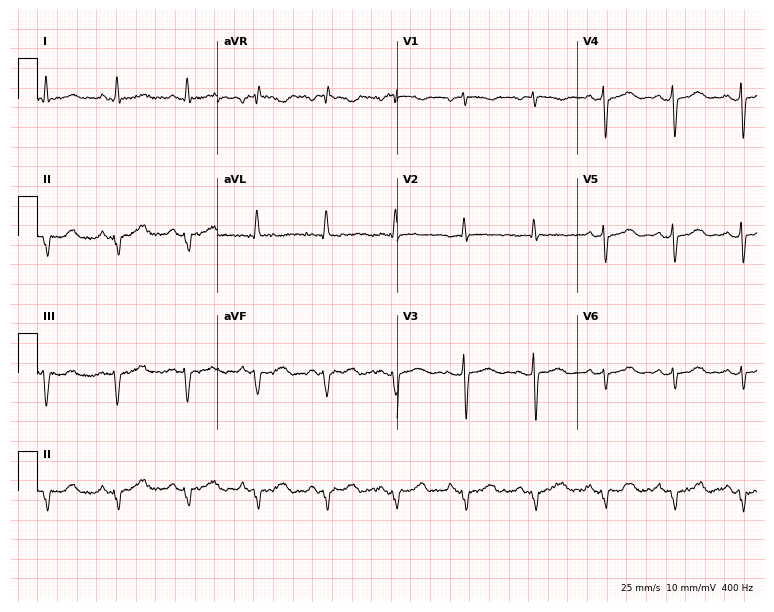
ECG (7.3-second recording at 400 Hz) — a woman, 68 years old. Screened for six findings — first-degree AV block, right bundle branch block (RBBB), left bundle branch block (LBBB), sinus bradycardia, atrial fibrillation (AF), sinus tachycardia — none is recorded. Findings outside these six are not listed.